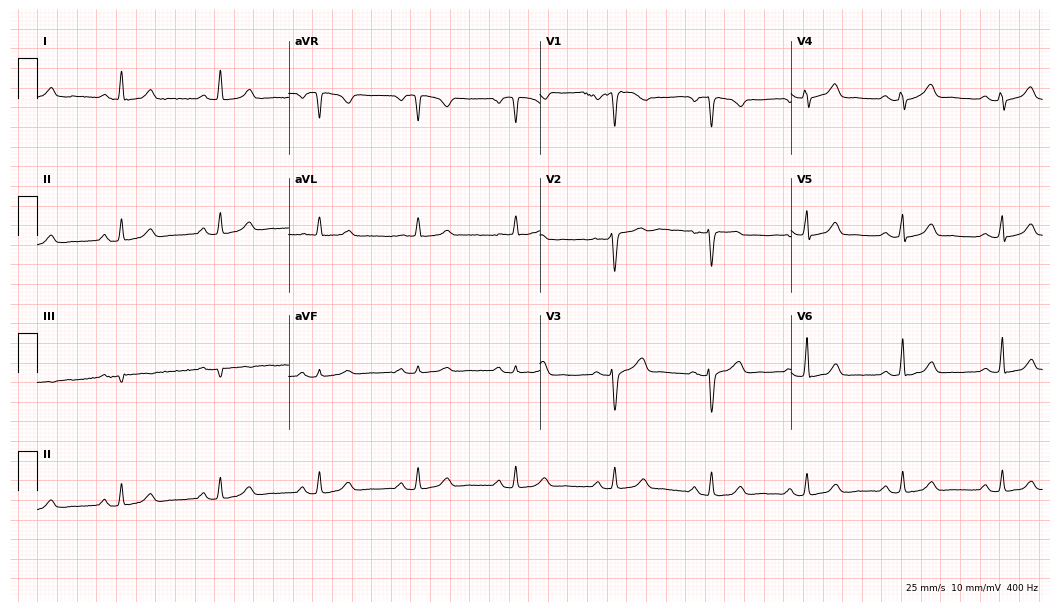
12-lead ECG from a male patient, 45 years old (10.2-second recording at 400 Hz). No first-degree AV block, right bundle branch block (RBBB), left bundle branch block (LBBB), sinus bradycardia, atrial fibrillation (AF) or sinus tachycardia recorded for this tracing.